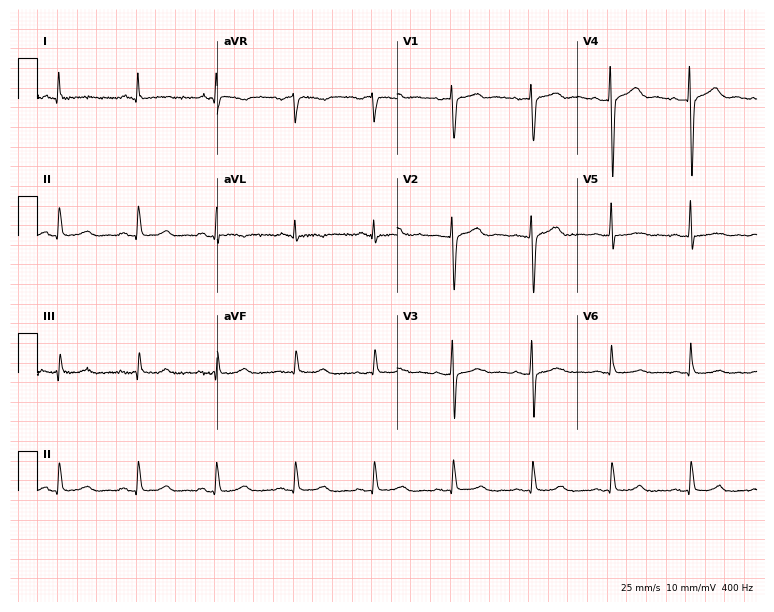
Electrocardiogram, a female, 56 years old. Overall reading on record: normal ECG.